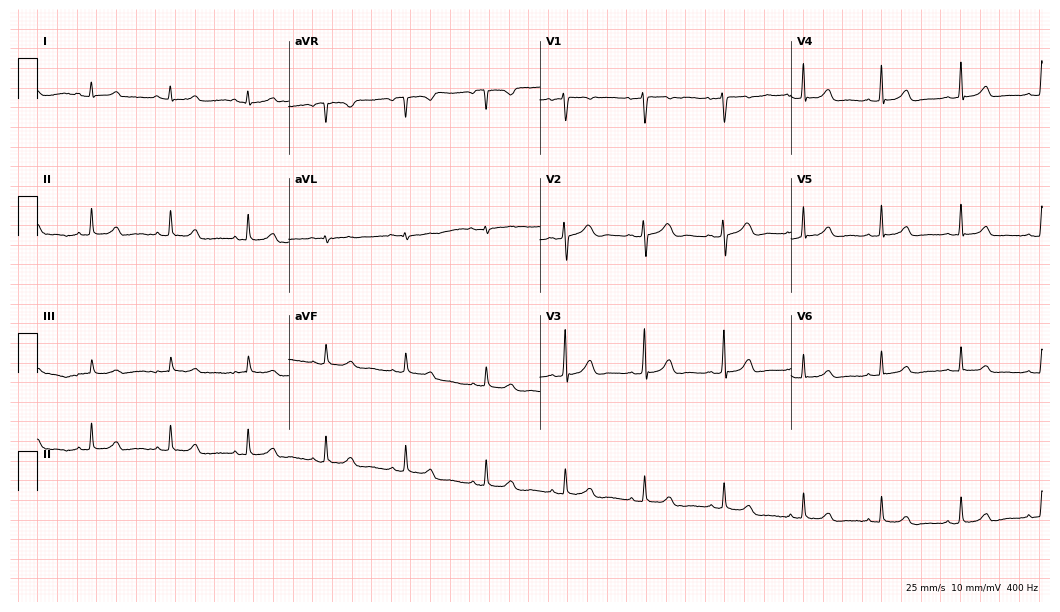
12-lead ECG from a female, 17 years old. Labelled as a normal ECG.